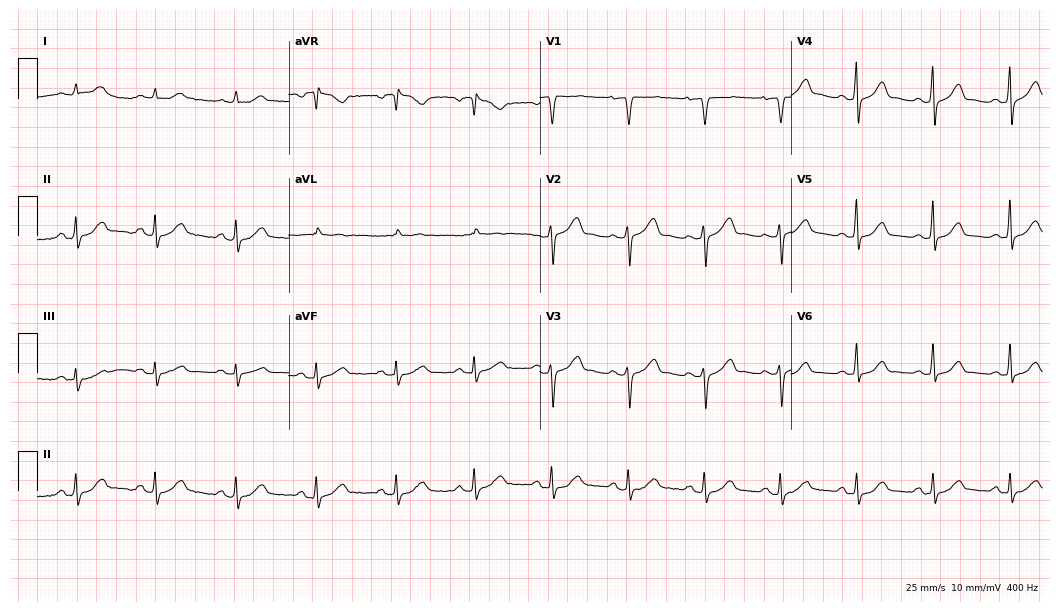
12-lead ECG from a male, 67 years old (10.2-second recording at 400 Hz). No first-degree AV block, right bundle branch block, left bundle branch block, sinus bradycardia, atrial fibrillation or sinus tachycardia recorded for this tracing.